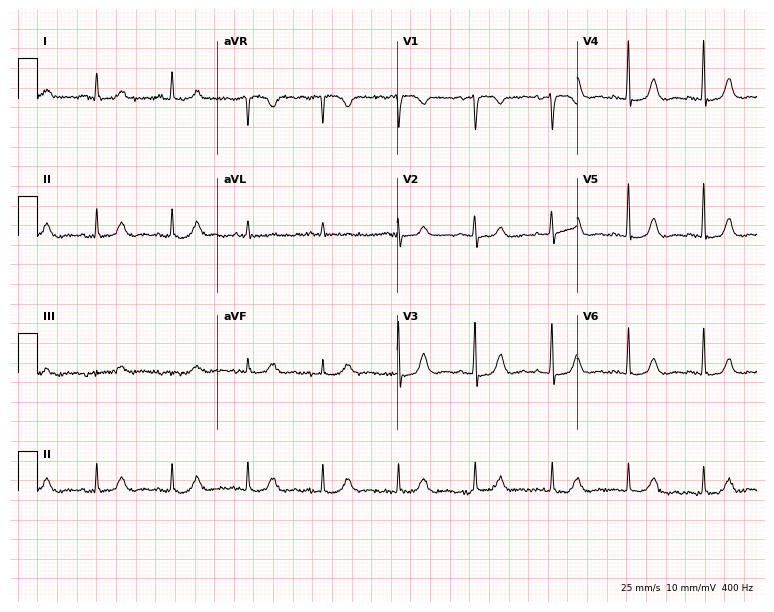
Electrocardiogram, a female patient, 65 years old. Of the six screened findings (first-degree AV block, right bundle branch block (RBBB), left bundle branch block (LBBB), sinus bradycardia, atrial fibrillation (AF), sinus tachycardia), none is recorded. Findings outside these six are not listed.